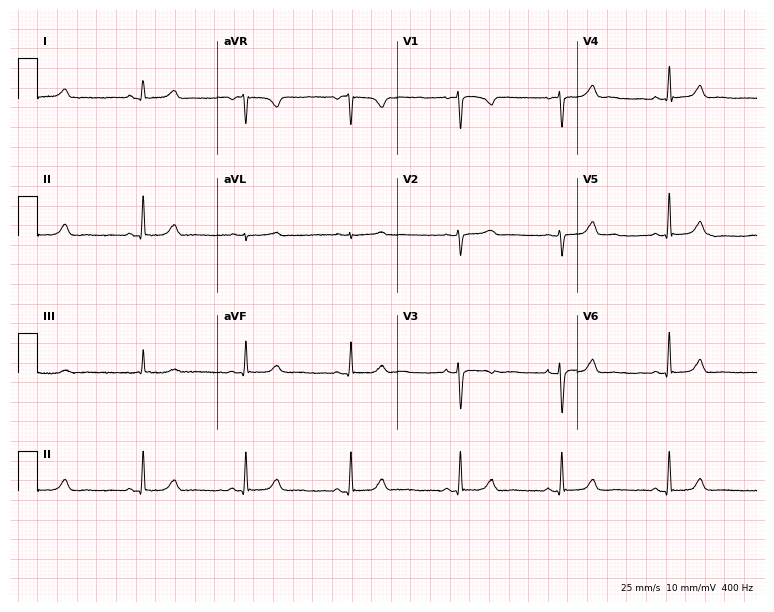
Resting 12-lead electrocardiogram. Patient: a female, 36 years old. Read as a normal ECG.